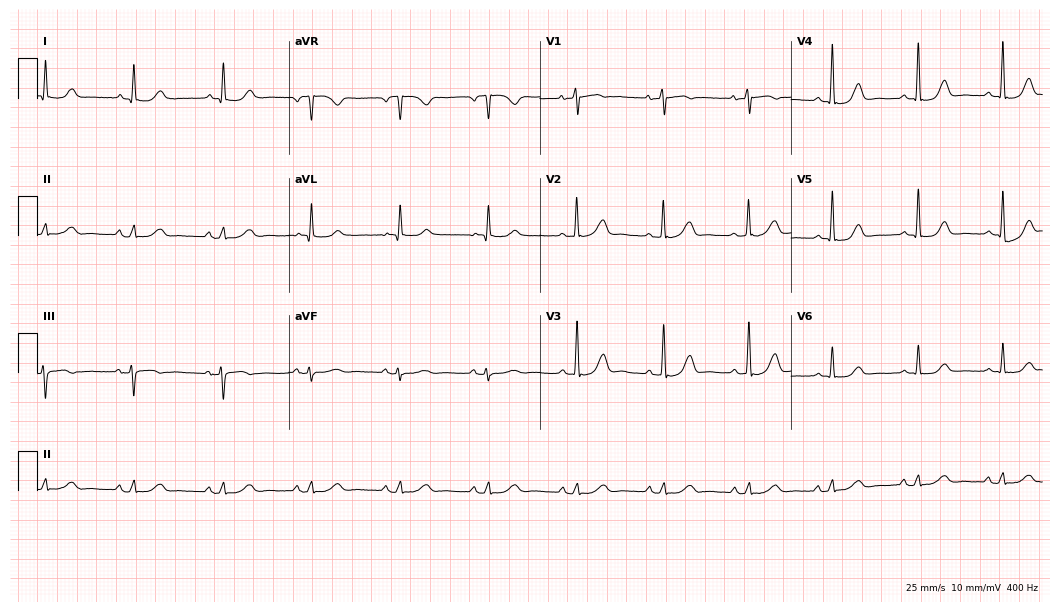
ECG (10.2-second recording at 400 Hz) — a 76-year-old female patient. Labelled as a normal ECG.